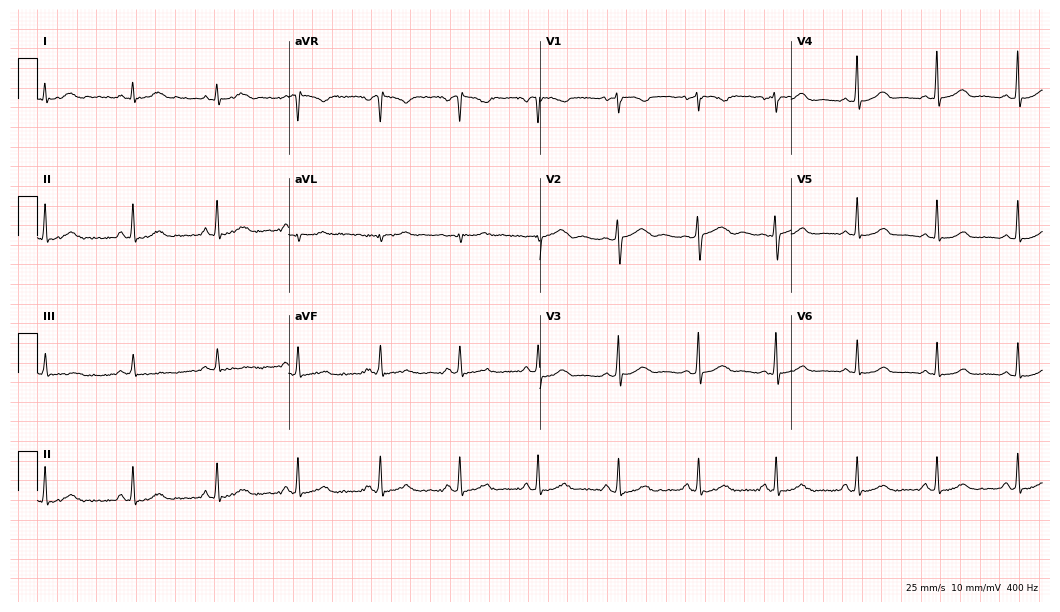
Standard 12-lead ECG recorded from a 25-year-old female patient (10.2-second recording at 400 Hz). Read as a normal ECG.